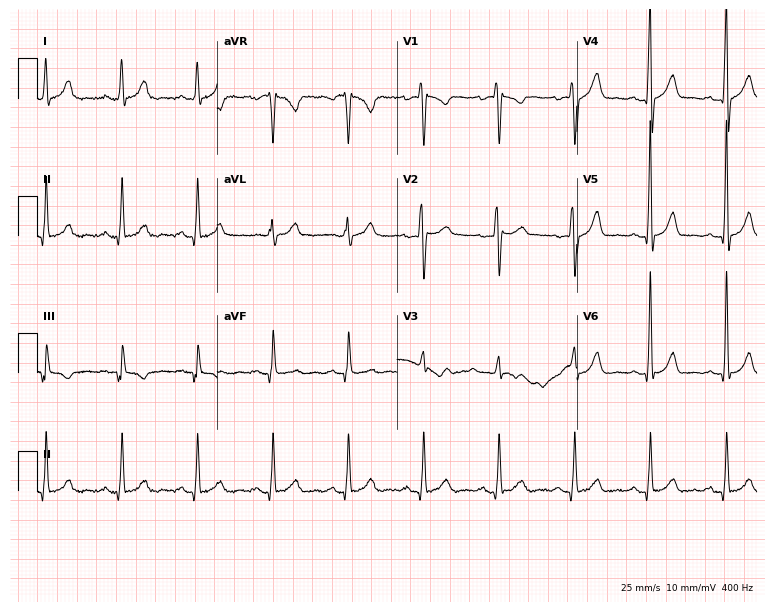
12-lead ECG from a 24-year-old man (7.3-second recording at 400 Hz). Recorded interpretation: within normal limits.